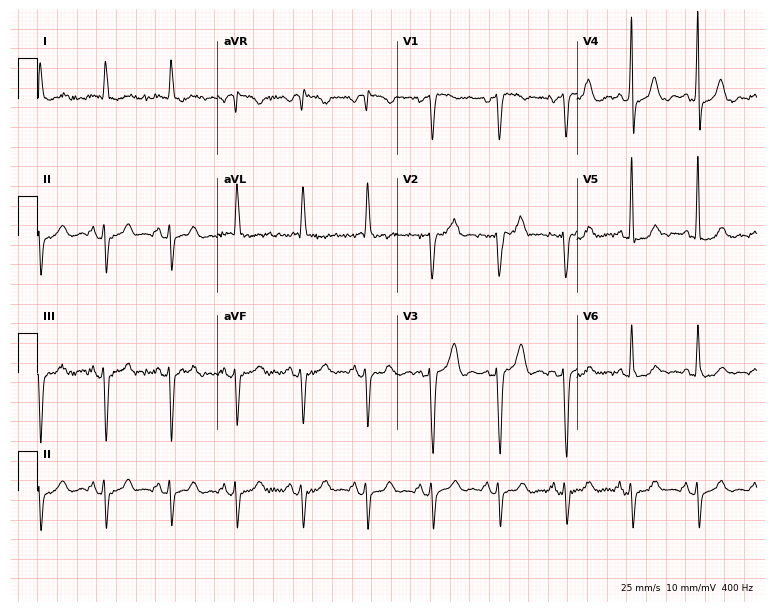
Resting 12-lead electrocardiogram. Patient: a 74-year-old male. None of these six findings is recorded: first-degree AV block, right bundle branch block, left bundle branch block, sinus bradycardia, atrial fibrillation, sinus tachycardia. Other findings, if any, are not listed.